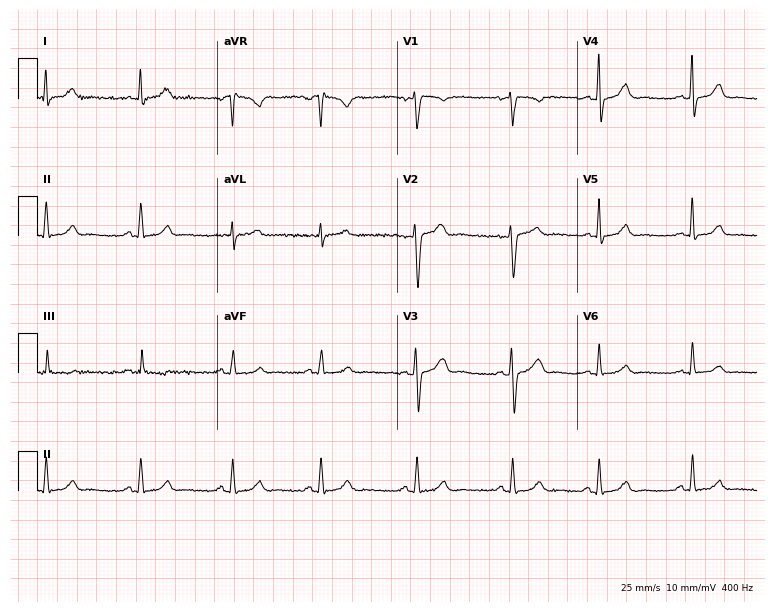
ECG (7.3-second recording at 400 Hz) — a 38-year-old female patient. Labelled as a normal ECG.